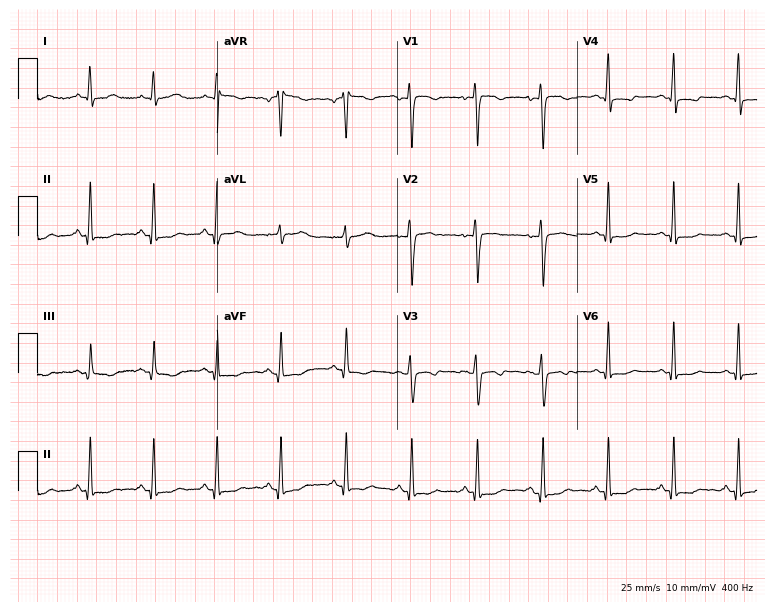
Electrocardiogram (7.3-second recording at 400 Hz), a 38-year-old female. Of the six screened findings (first-degree AV block, right bundle branch block, left bundle branch block, sinus bradycardia, atrial fibrillation, sinus tachycardia), none is recorded. Other findings, if any, are not listed.